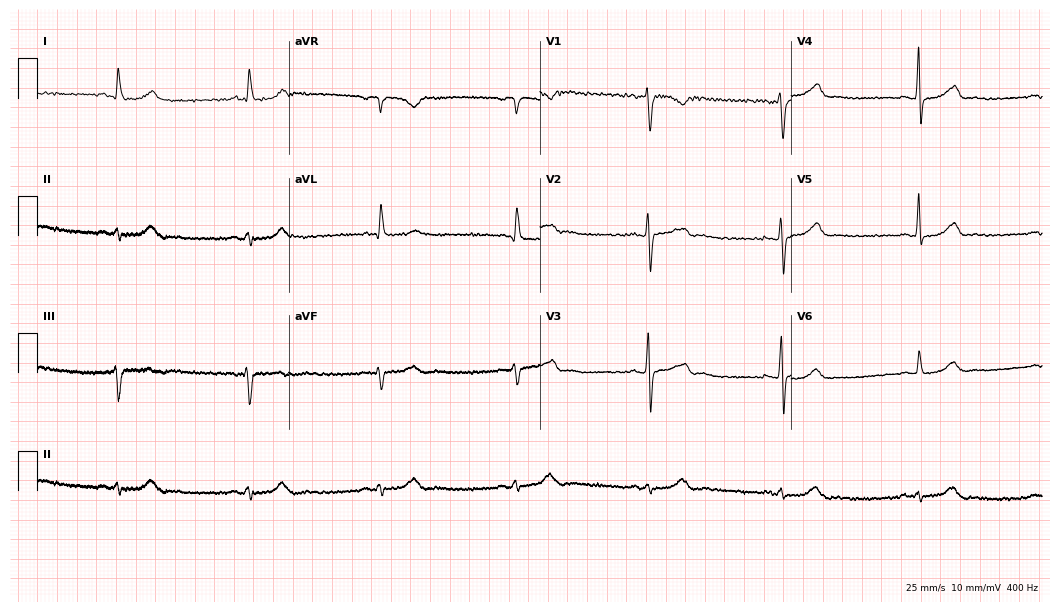
Resting 12-lead electrocardiogram (10.2-second recording at 400 Hz). Patient: a female, 63 years old. The tracing shows sinus bradycardia (a sinus rate of 50 beats per minute or less).